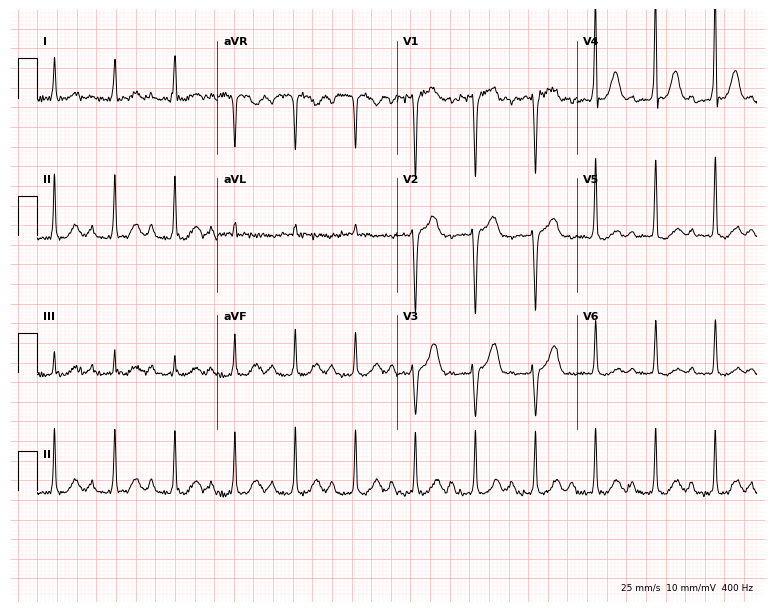
Electrocardiogram (7.3-second recording at 400 Hz), a female patient, 84 years old. Interpretation includes first-degree AV block.